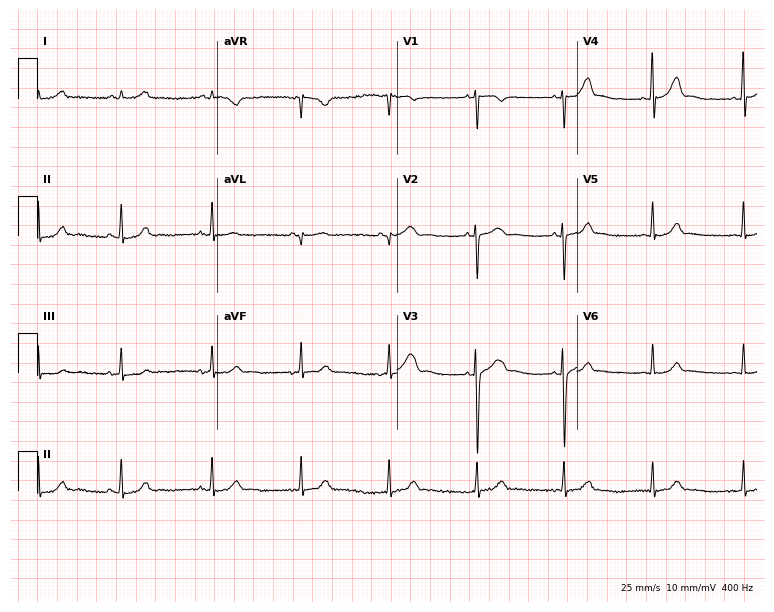
12-lead ECG from a 40-year-old female patient. No first-degree AV block, right bundle branch block, left bundle branch block, sinus bradycardia, atrial fibrillation or sinus tachycardia recorded for this tracing. Findings outside these six are not listed.